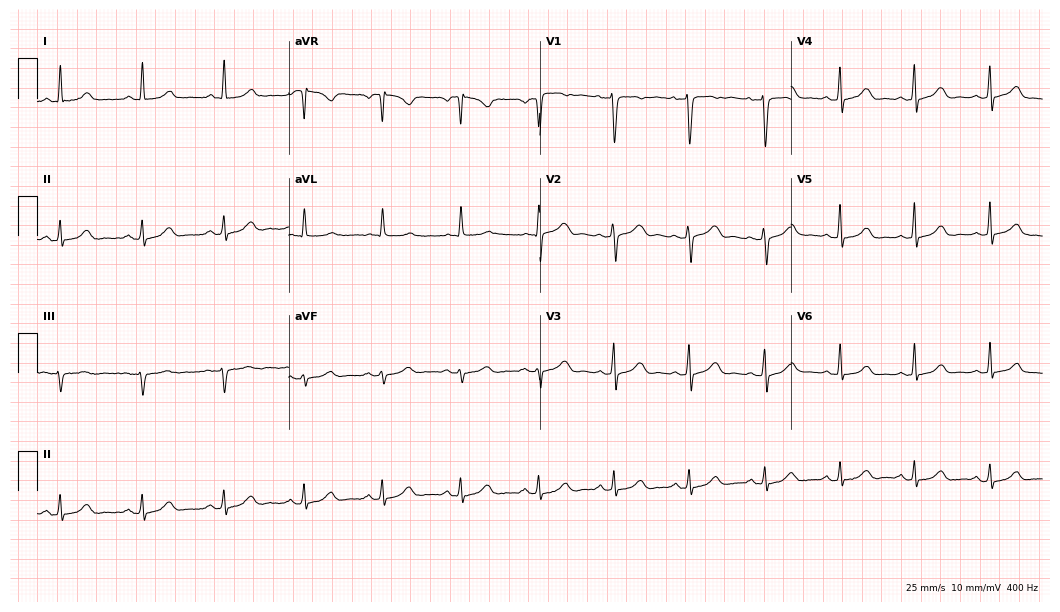
12-lead ECG (10.2-second recording at 400 Hz) from a female, 49 years old. Labelled as a normal ECG.